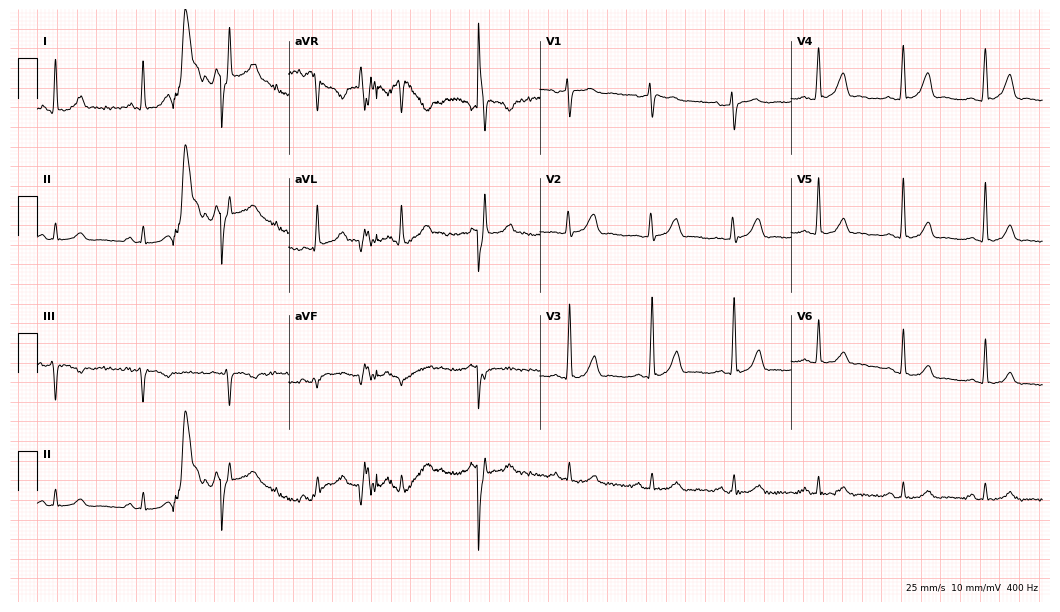
12-lead ECG (10.2-second recording at 400 Hz) from a 39-year-old female patient. Labelled as a normal ECG.